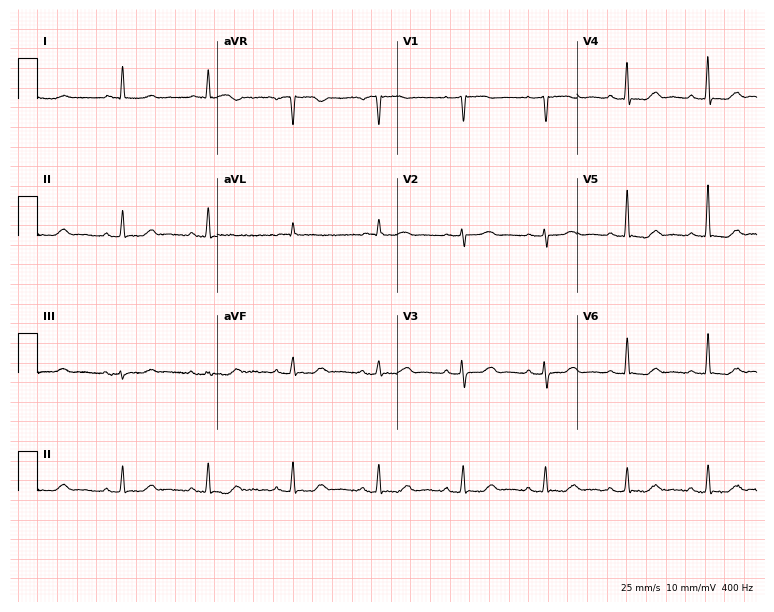
12-lead ECG (7.3-second recording at 400 Hz) from a female, 81 years old. Screened for six findings — first-degree AV block, right bundle branch block, left bundle branch block, sinus bradycardia, atrial fibrillation, sinus tachycardia — none is recorded. Other findings, if any, are not listed.